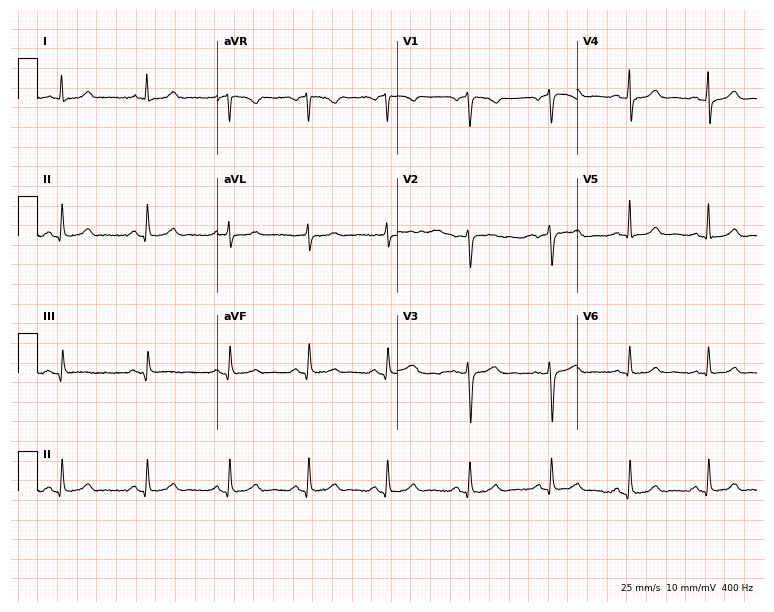
ECG (7.3-second recording at 400 Hz) — a female patient, 49 years old. Labelled as a normal ECG.